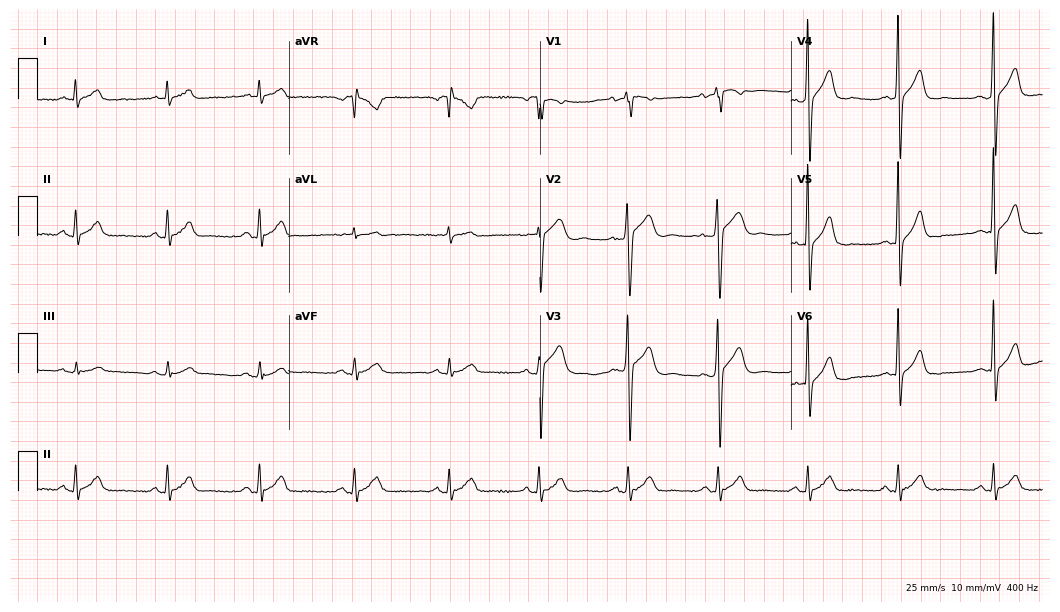
12-lead ECG (10.2-second recording at 400 Hz) from a 49-year-old male patient. Labelled as a normal ECG.